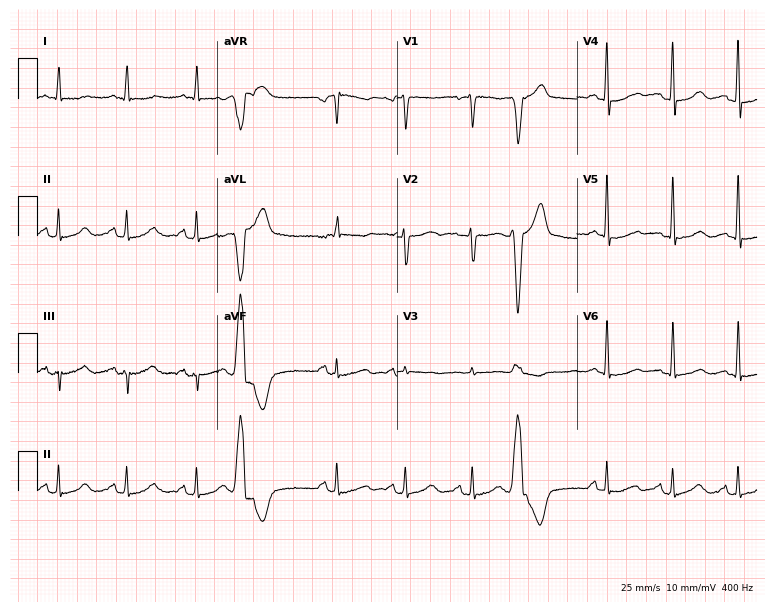
Standard 12-lead ECG recorded from a female, 46 years old (7.3-second recording at 400 Hz). None of these six findings is recorded: first-degree AV block, right bundle branch block, left bundle branch block, sinus bradycardia, atrial fibrillation, sinus tachycardia.